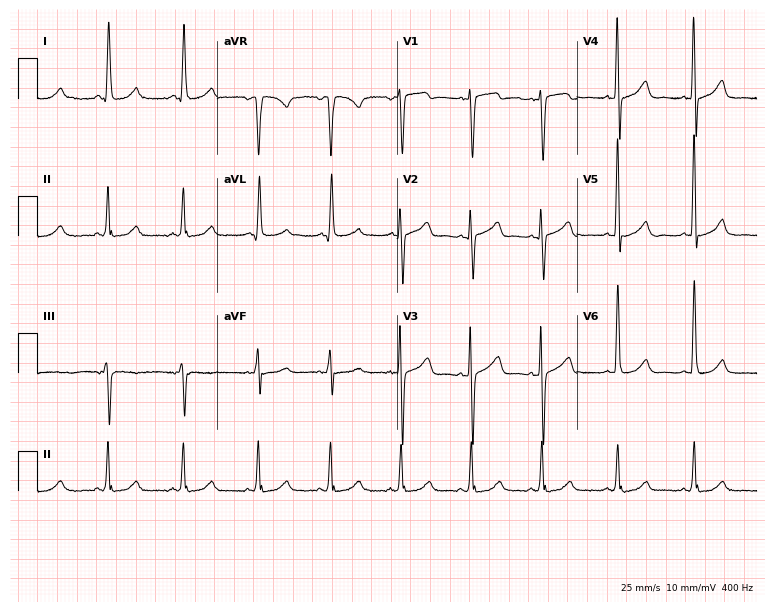
Resting 12-lead electrocardiogram (7.3-second recording at 400 Hz). Patient: a female, 70 years old. Read as a normal ECG.